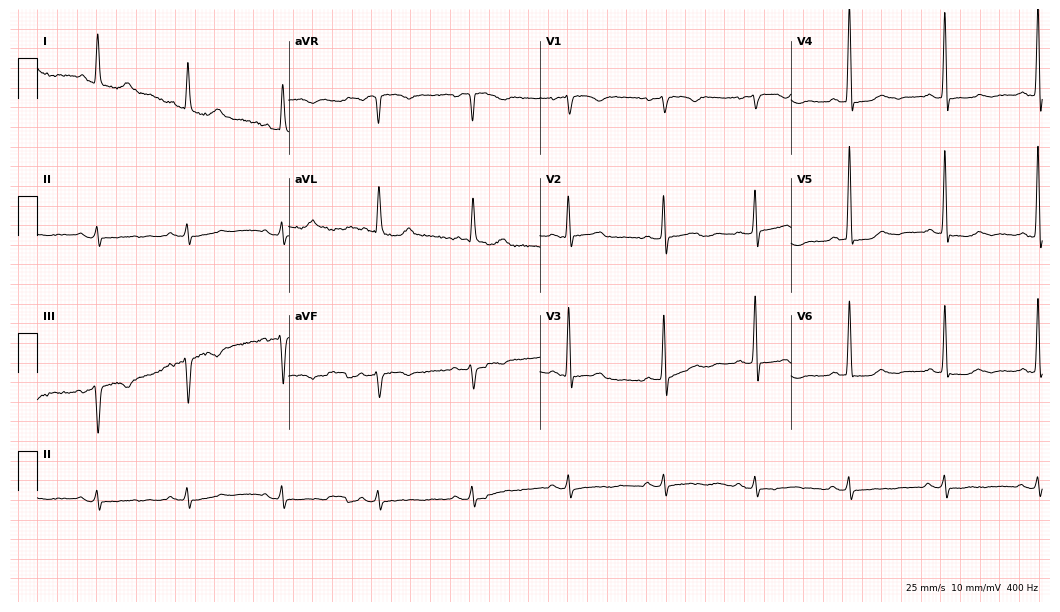
Resting 12-lead electrocardiogram (10.2-second recording at 400 Hz). Patient: an 82-year-old man. None of these six findings is recorded: first-degree AV block, right bundle branch block, left bundle branch block, sinus bradycardia, atrial fibrillation, sinus tachycardia.